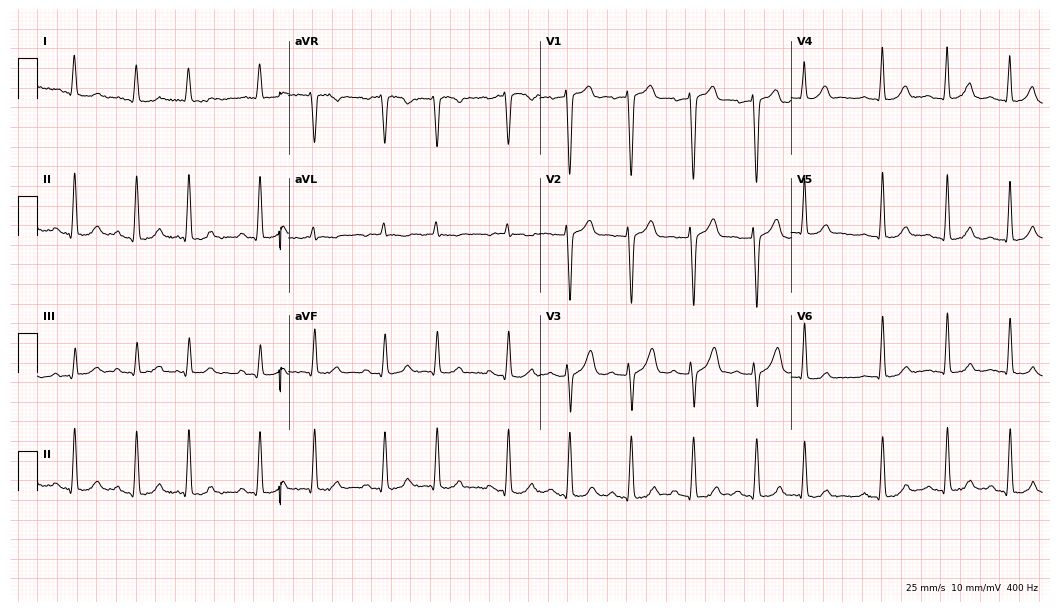
Electrocardiogram, a male, 65 years old. Of the six screened findings (first-degree AV block, right bundle branch block (RBBB), left bundle branch block (LBBB), sinus bradycardia, atrial fibrillation (AF), sinus tachycardia), none is recorded. Other findings, if any, are not listed.